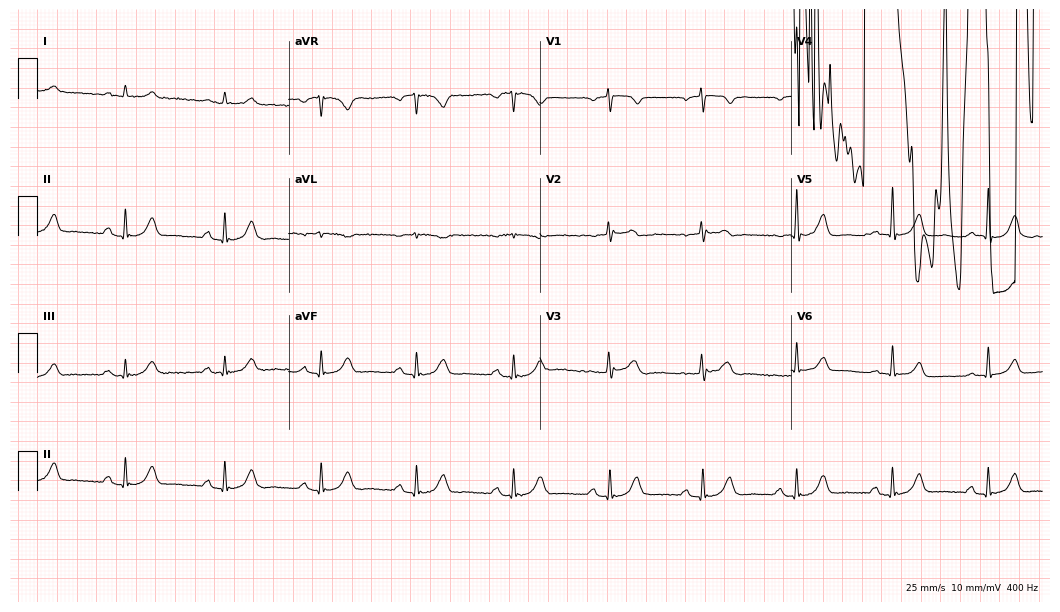
Resting 12-lead electrocardiogram. Patient: a man, 78 years old. None of these six findings is recorded: first-degree AV block, right bundle branch block (RBBB), left bundle branch block (LBBB), sinus bradycardia, atrial fibrillation (AF), sinus tachycardia. Other findings, if any, are not listed.